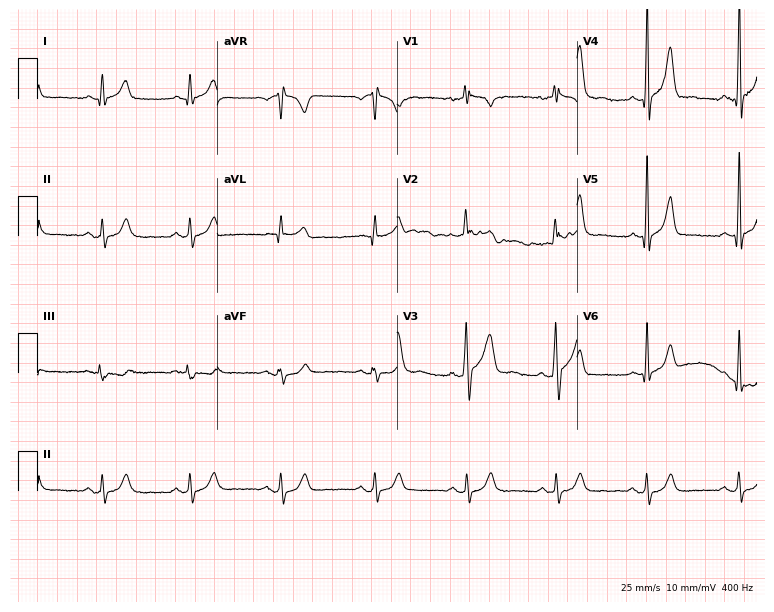
ECG — a man, 26 years old. Labelled as a normal ECG.